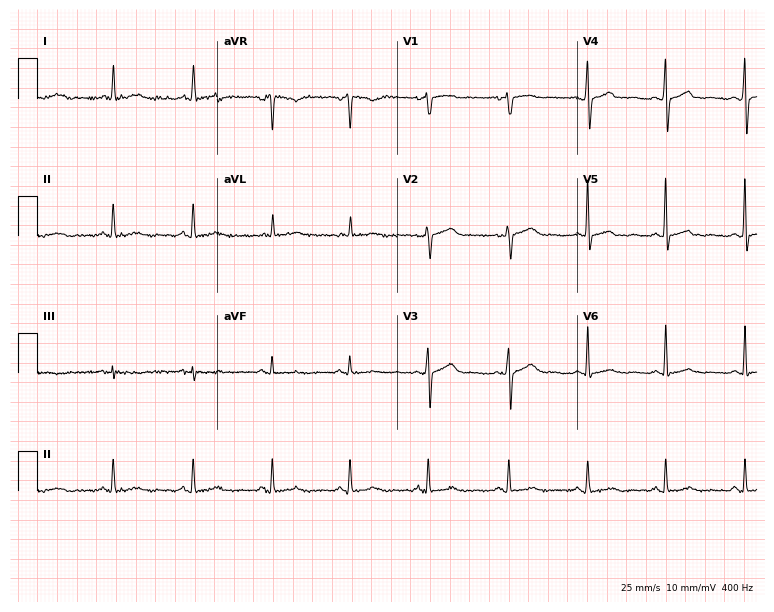
ECG — a woman, 63 years old. Screened for six findings — first-degree AV block, right bundle branch block, left bundle branch block, sinus bradycardia, atrial fibrillation, sinus tachycardia — none is recorded.